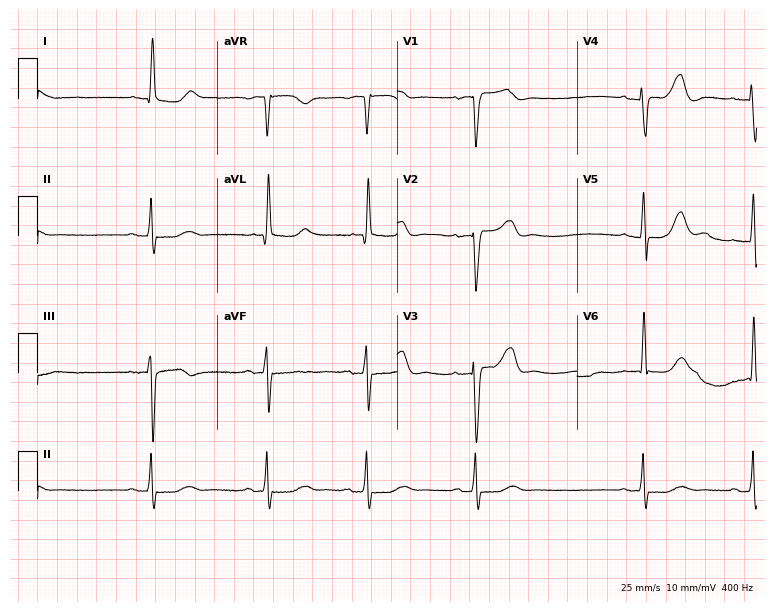
12-lead ECG from a woman, 81 years old. Screened for six findings — first-degree AV block, right bundle branch block, left bundle branch block, sinus bradycardia, atrial fibrillation, sinus tachycardia — none is recorded. Other findings, if any, are not listed.